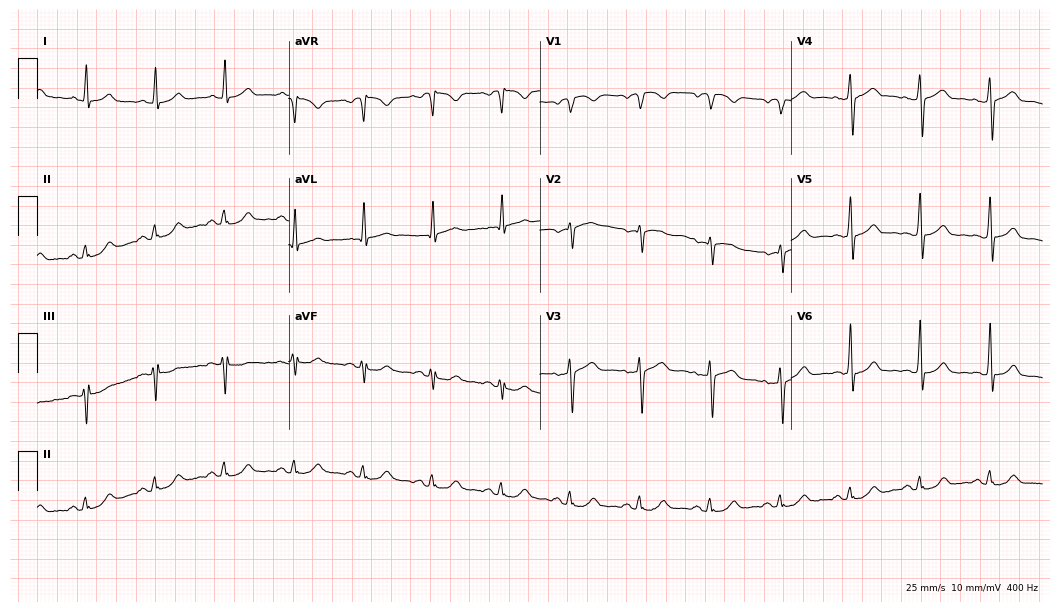
Resting 12-lead electrocardiogram (10.2-second recording at 400 Hz). Patient: a female, 56 years old. Read as a normal ECG.